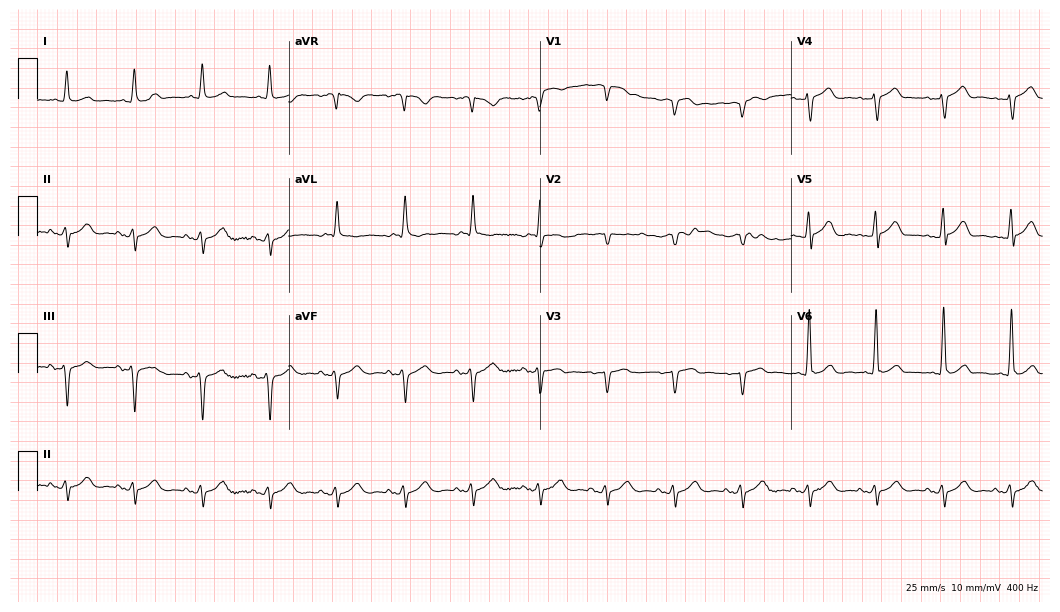
12-lead ECG from a male, 81 years old. Screened for six findings — first-degree AV block, right bundle branch block (RBBB), left bundle branch block (LBBB), sinus bradycardia, atrial fibrillation (AF), sinus tachycardia — none is recorded.